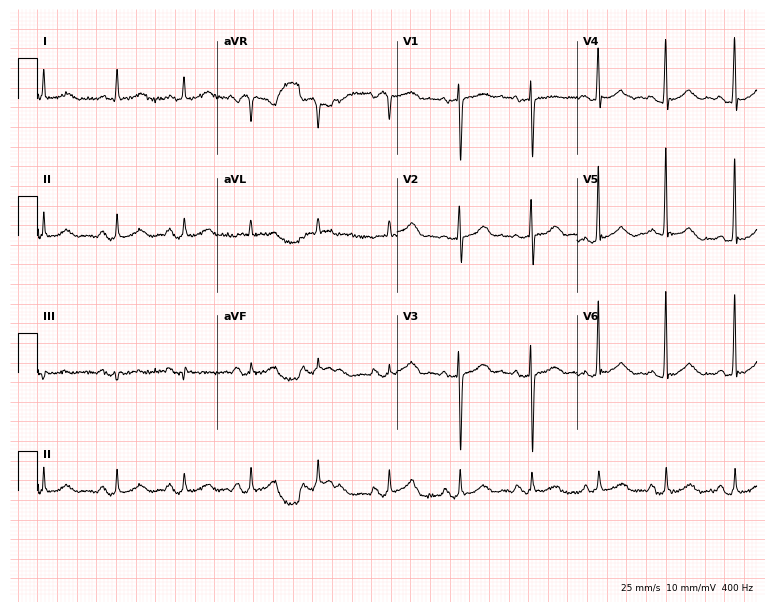
Standard 12-lead ECG recorded from a 72-year-old female. Read as a normal ECG.